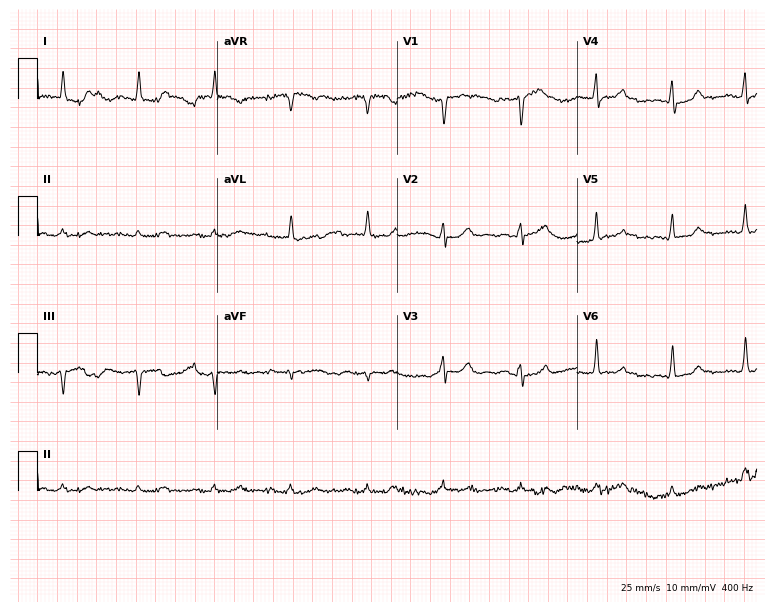
12-lead ECG from a man, 85 years old (7.3-second recording at 400 Hz). No first-degree AV block, right bundle branch block, left bundle branch block, sinus bradycardia, atrial fibrillation or sinus tachycardia recorded for this tracing. Only these six findings were labelled.